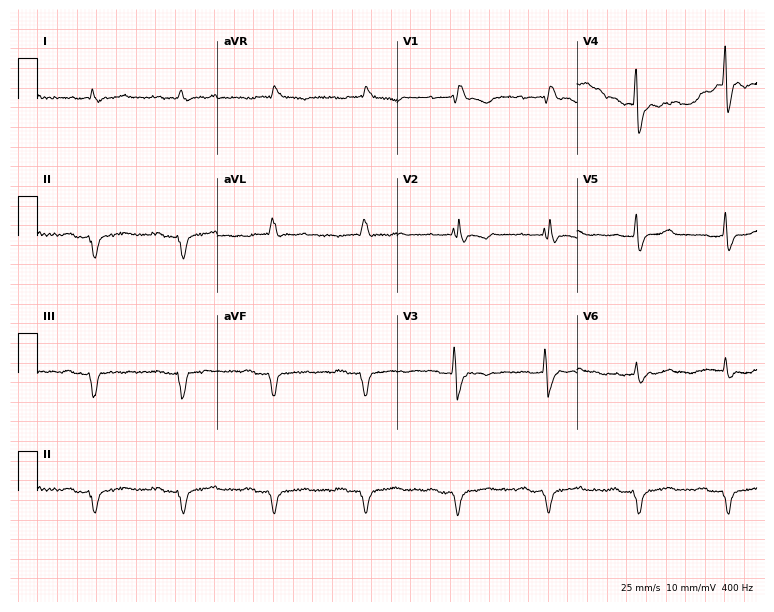
Electrocardiogram (7.3-second recording at 400 Hz), a 74-year-old man. Of the six screened findings (first-degree AV block, right bundle branch block, left bundle branch block, sinus bradycardia, atrial fibrillation, sinus tachycardia), none is recorded.